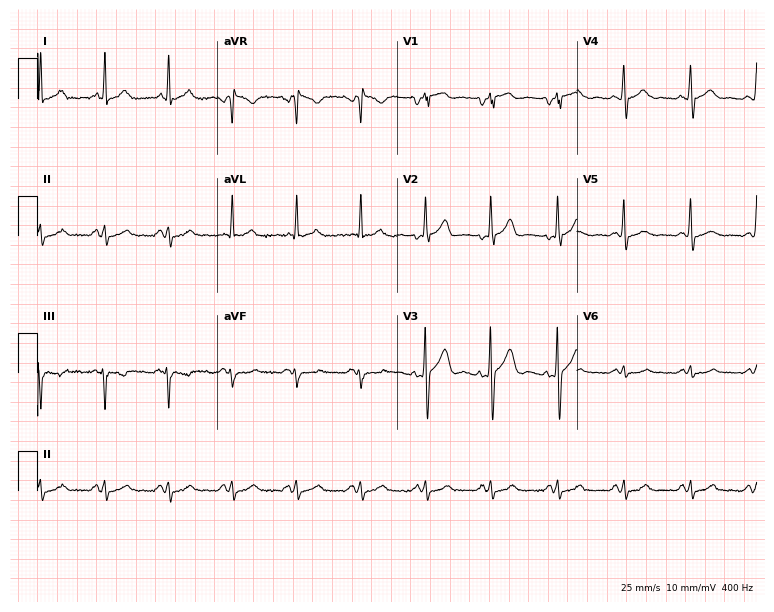
12-lead ECG from a 42-year-old male patient. Screened for six findings — first-degree AV block, right bundle branch block, left bundle branch block, sinus bradycardia, atrial fibrillation, sinus tachycardia — none is recorded.